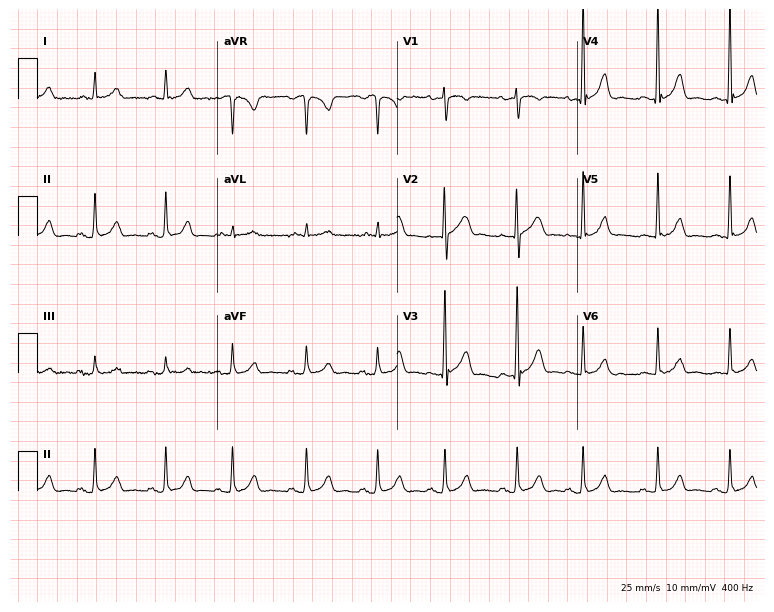
Electrocardiogram (7.3-second recording at 400 Hz), a male, 58 years old. Overall reading on record: normal ECG.